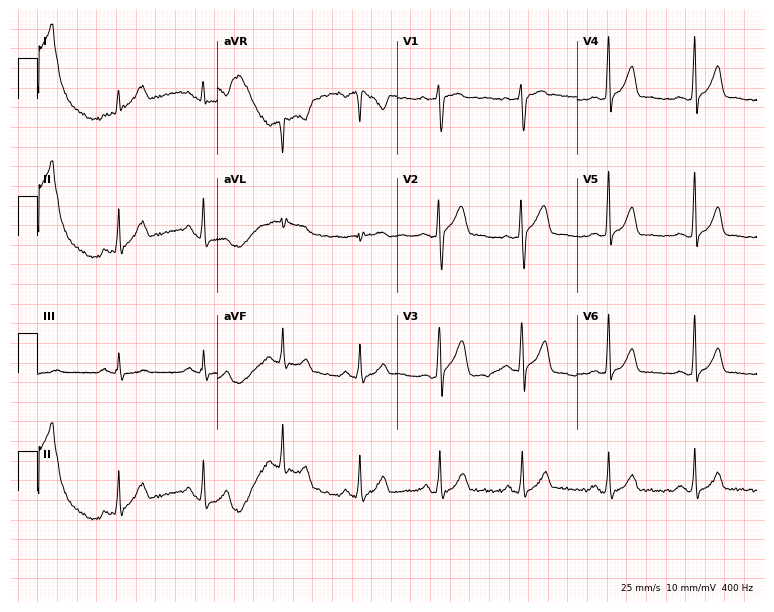
Electrocardiogram, a male, 26 years old. Overall reading on record: normal ECG.